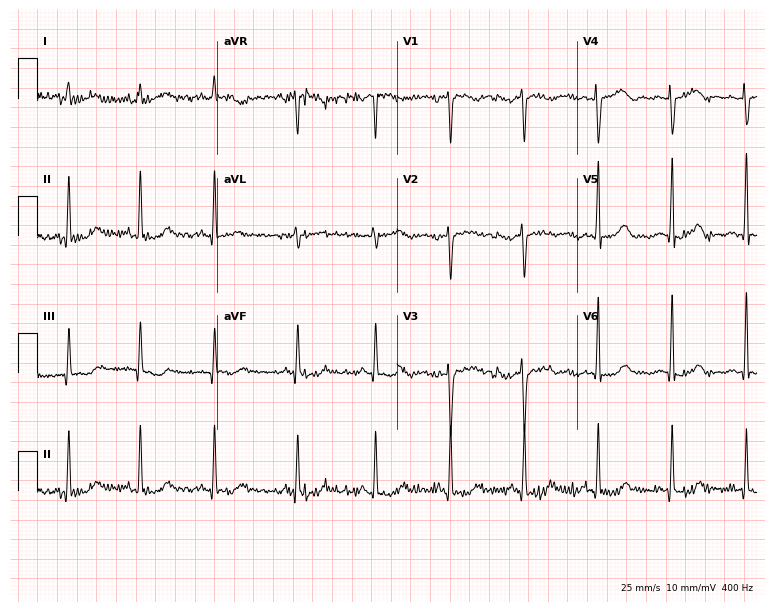
12-lead ECG from a 50-year-old female. Screened for six findings — first-degree AV block, right bundle branch block (RBBB), left bundle branch block (LBBB), sinus bradycardia, atrial fibrillation (AF), sinus tachycardia — none is recorded. Findings outside these six are not listed.